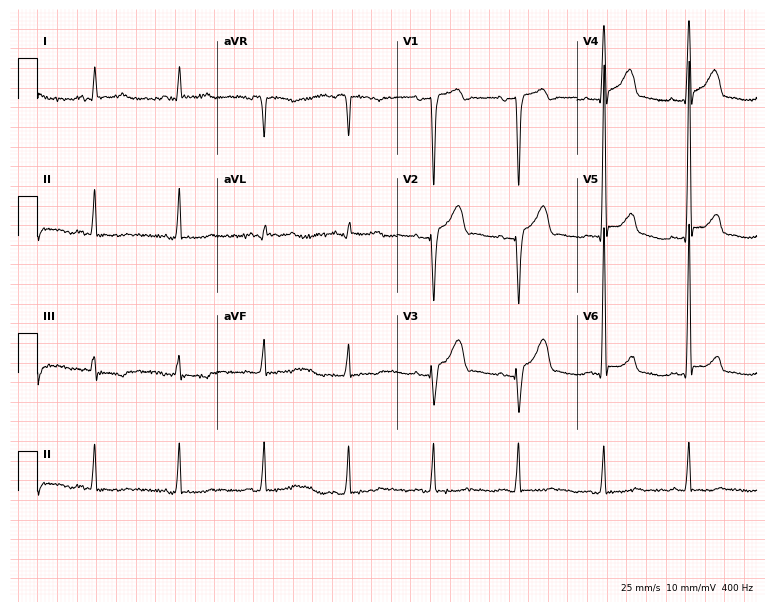
12-lead ECG from a man, 69 years old (7.3-second recording at 400 Hz). No first-degree AV block, right bundle branch block (RBBB), left bundle branch block (LBBB), sinus bradycardia, atrial fibrillation (AF) or sinus tachycardia recorded for this tracing. Other findings, if any, are not listed.